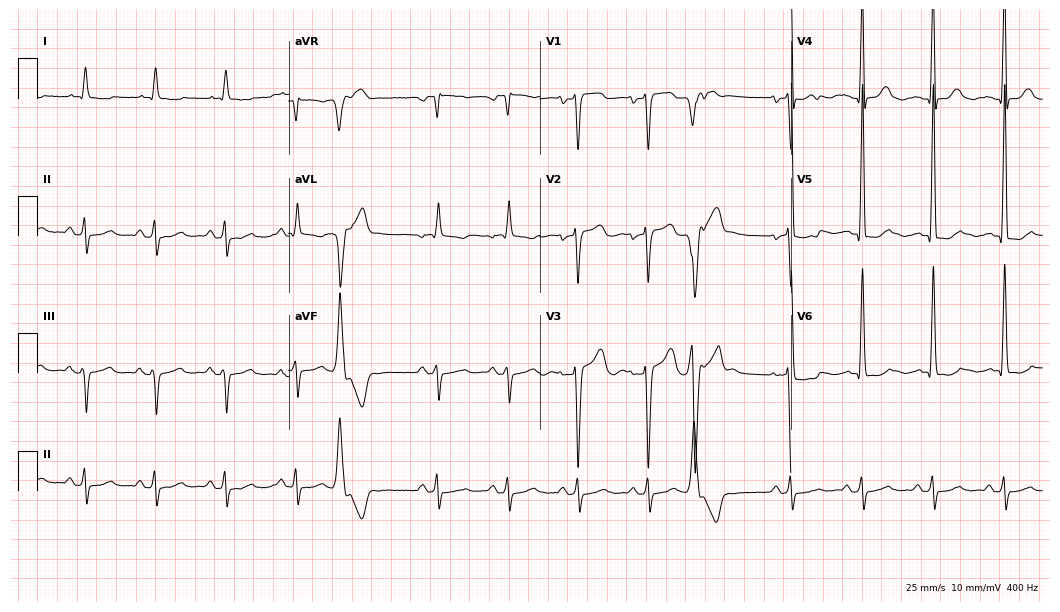
Electrocardiogram, a 74-year-old woman. Of the six screened findings (first-degree AV block, right bundle branch block, left bundle branch block, sinus bradycardia, atrial fibrillation, sinus tachycardia), none is recorded.